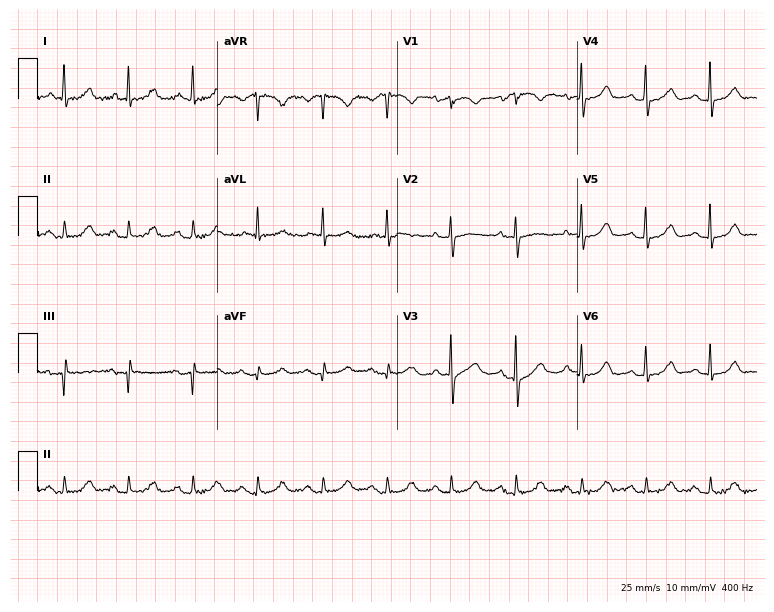
Standard 12-lead ECG recorded from a 75-year-old female patient. Read as a normal ECG.